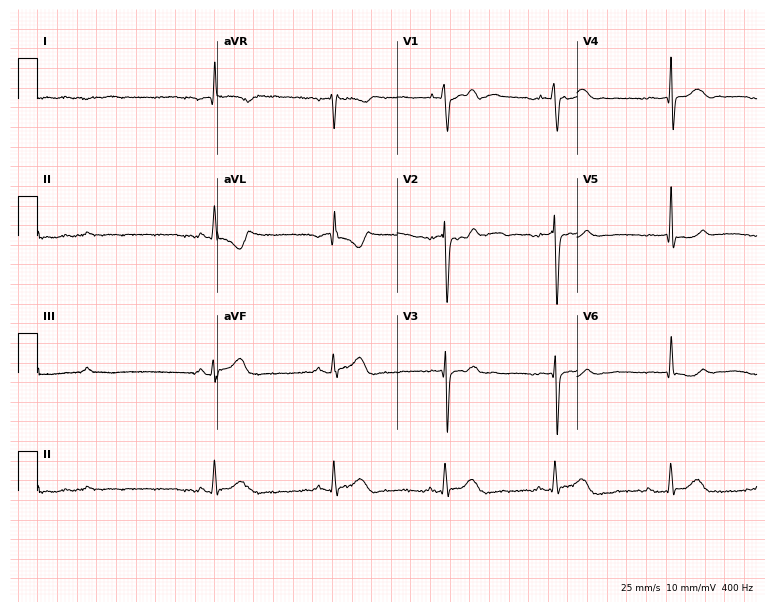
Standard 12-lead ECG recorded from a male patient, 58 years old (7.3-second recording at 400 Hz). None of these six findings is recorded: first-degree AV block, right bundle branch block, left bundle branch block, sinus bradycardia, atrial fibrillation, sinus tachycardia. Only these six findings were labelled.